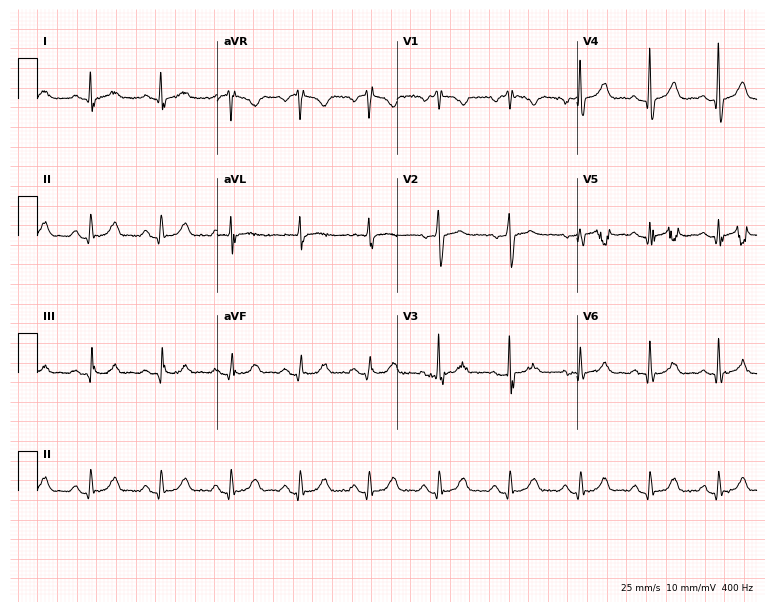
ECG — a woman, 68 years old. Labelled as a normal ECG.